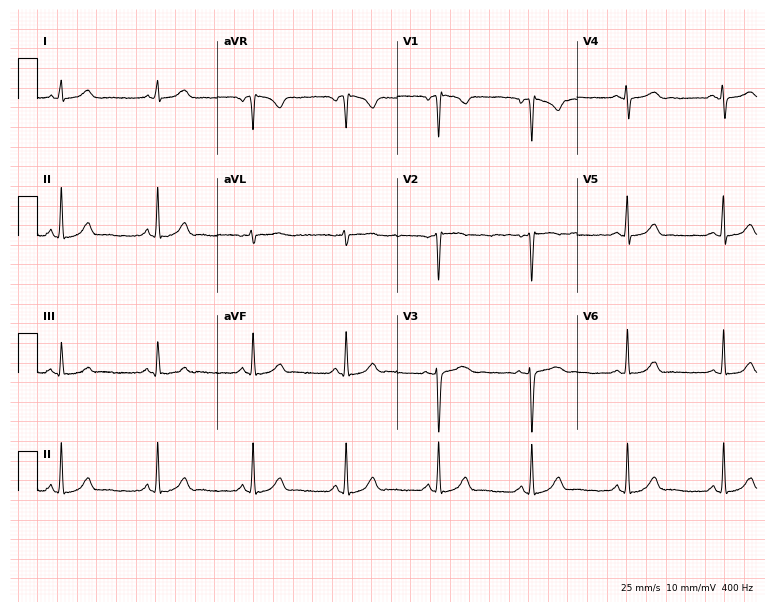
Standard 12-lead ECG recorded from a female patient, 35 years old (7.3-second recording at 400 Hz). None of these six findings is recorded: first-degree AV block, right bundle branch block (RBBB), left bundle branch block (LBBB), sinus bradycardia, atrial fibrillation (AF), sinus tachycardia.